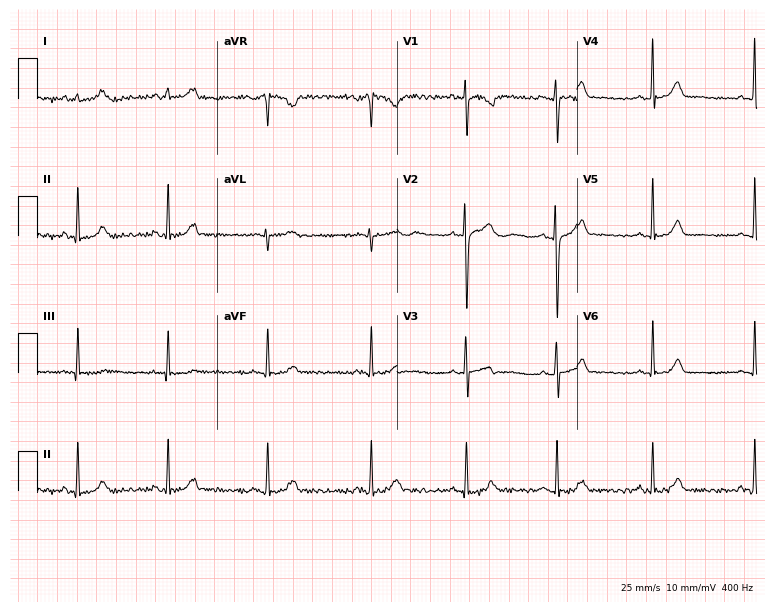
Electrocardiogram (7.3-second recording at 400 Hz), a 25-year-old female patient. Overall reading on record: normal ECG.